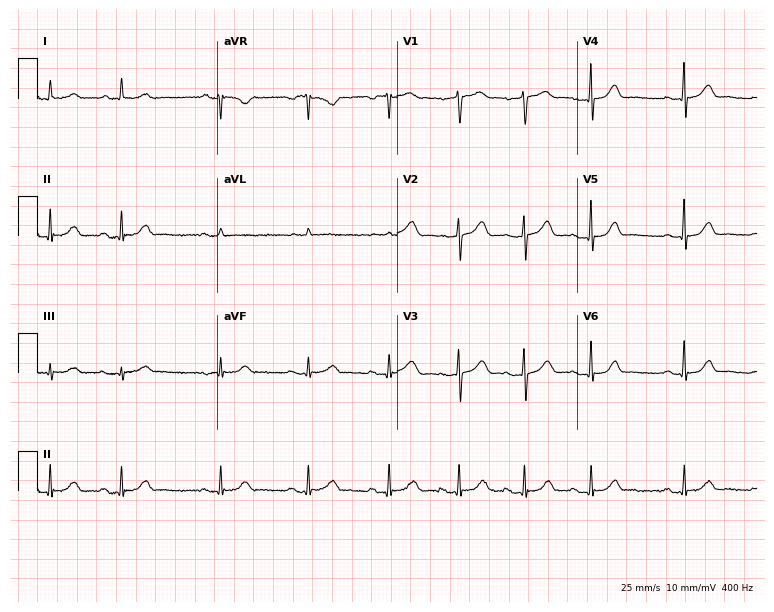
Electrocardiogram, a 57-year-old female patient. Overall reading on record: normal ECG.